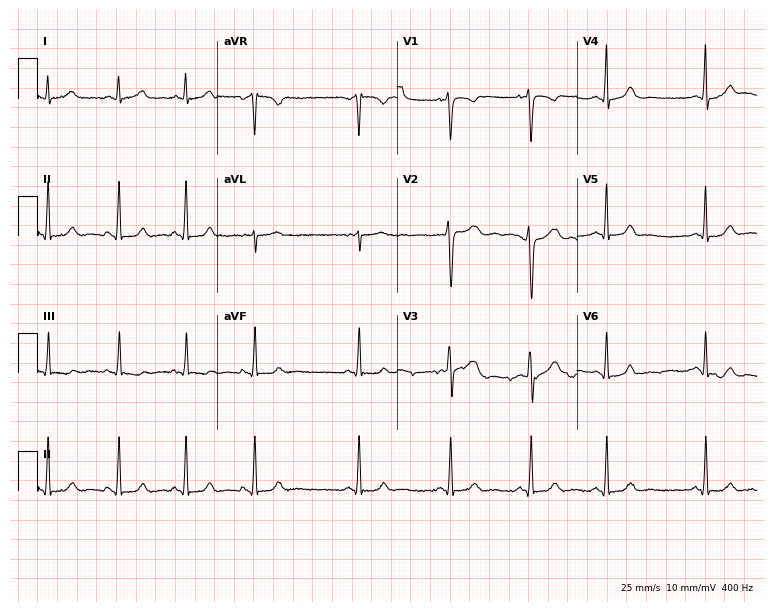
Resting 12-lead electrocardiogram. Patient: a 22-year-old female. None of these six findings is recorded: first-degree AV block, right bundle branch block, left bundle branch block, sinus bradycardia, atrial fibrillation, sinus tachycardia.